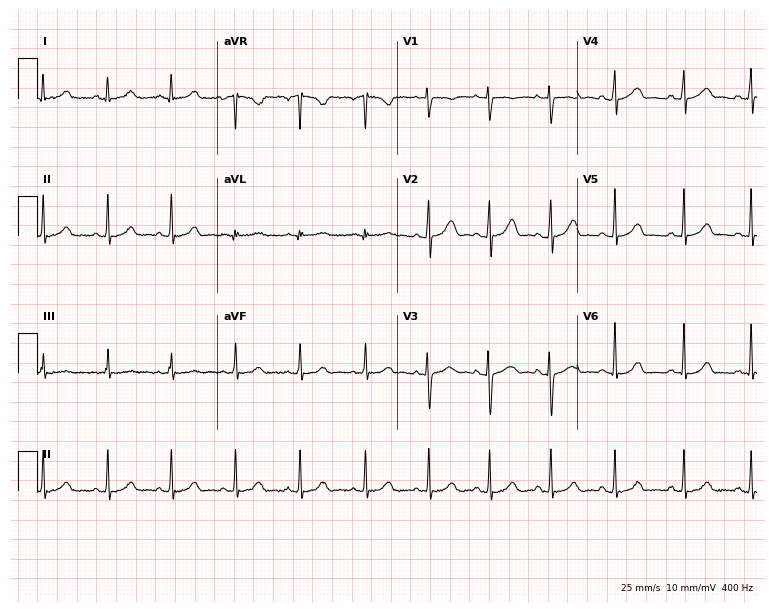
Electrocardiogram, a 21-year-old female. Overall reading on record: normal ECG.